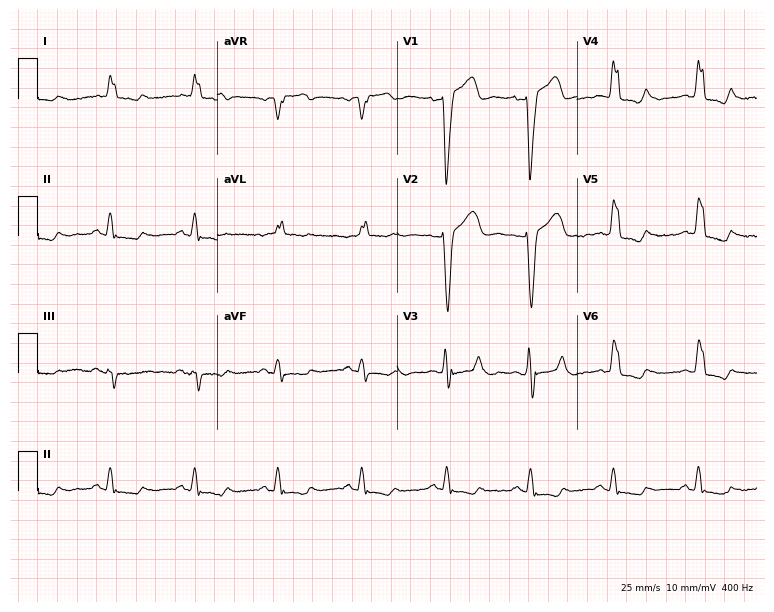
12-lead ECG from an 81-year-old woman (7.3-second recording at 400 Hz). Shows left bundle branch block.